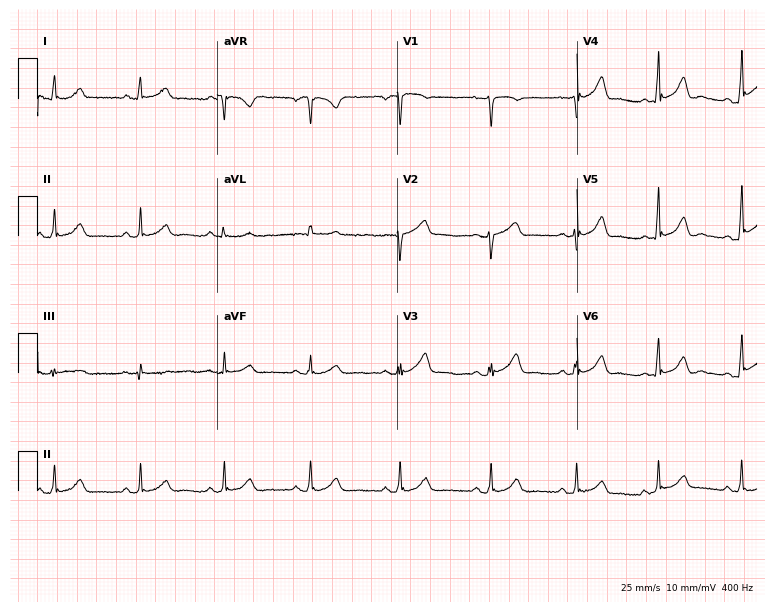
ECG — a woman, 59 years old. Screened for six findings — first-degree AV block, right bundle branch block, left bundle branch block, sinus bradycardia, atrial fibrillation, sinus tachycardia — none is recorded.